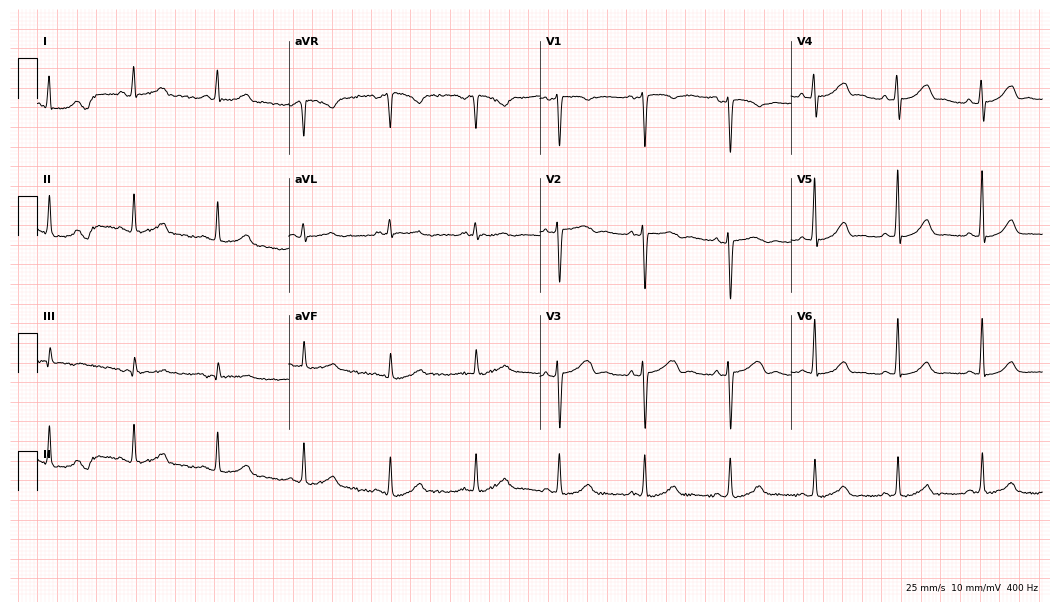
Resting 12-lead electrocardiogram. Patient: a 41-year-old female. Read as a normal ECG.